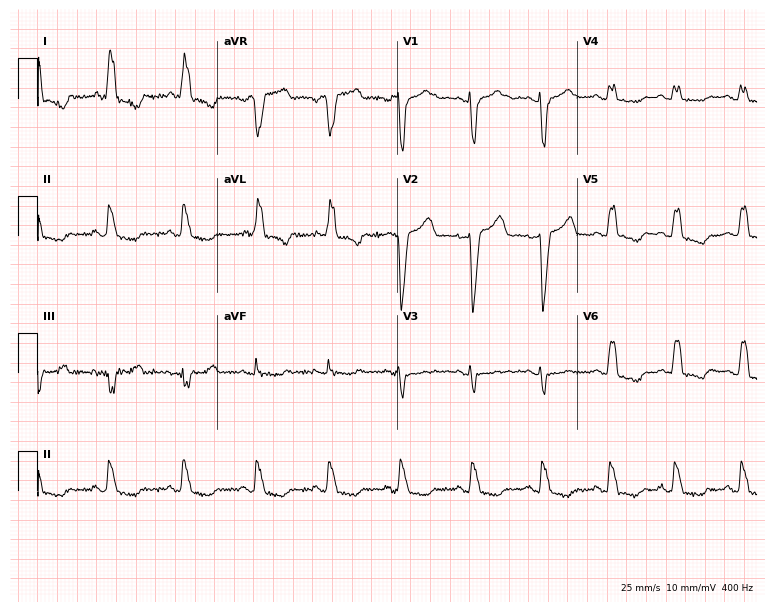
12-lead ECG (7.3-second recording at 400 Hz) from a female patient, 73 years old. Findings include left bundle branch block.